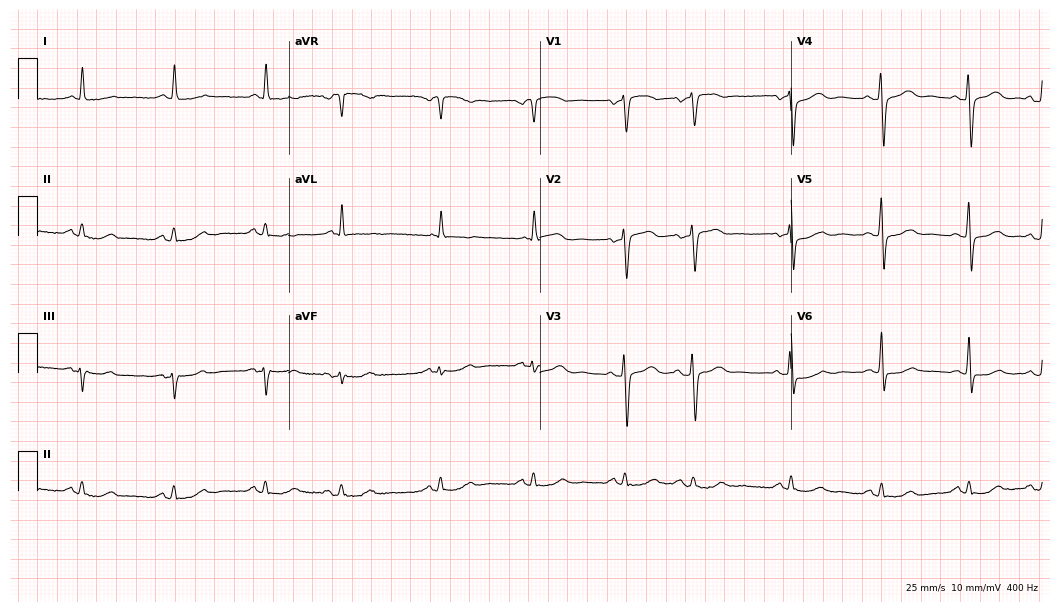
12-lead ECG from a female, 69 years old (10.2-second recording at 400 Hz). No first-degree AV block, right bundle branch block, left bundle branch block, sinus bradycardia, atrial fibrillation or sinus tachycardia recorded for this tracing. Other findings, if any, are not listed.